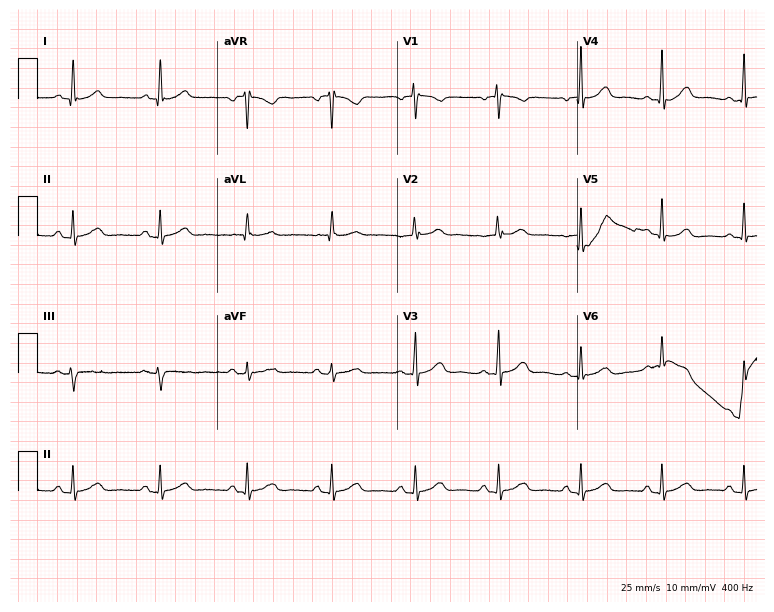
Standard 12-lead ECG recorded from a female, 72 years old. Read as a normal ECG.